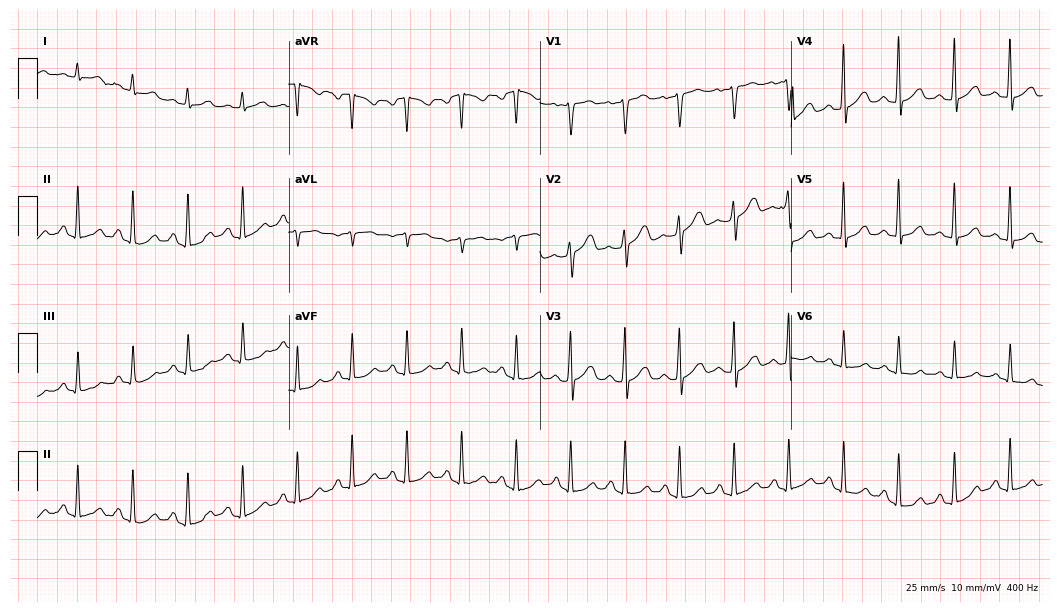
12-lead ECG from a 46-year-old female (10.2-second recording at 400 Hz). Shows sinus tachycardia (a sinus rate of 100 beats per minute or more).